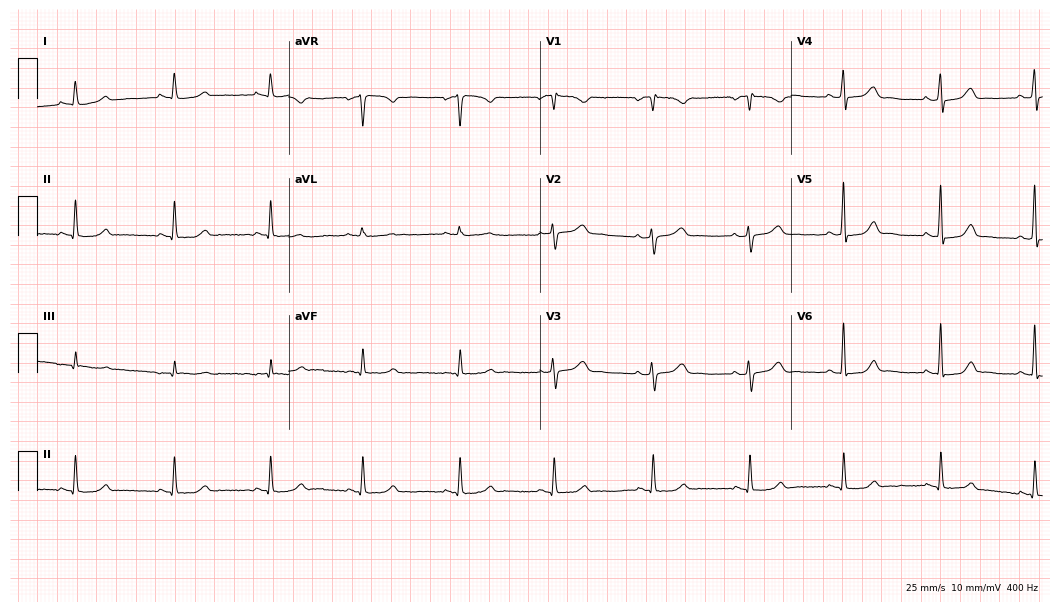
12-lead ECG from a 39-year-old woman (10.2-second recording at 400 Hz). Recorded interpretation: within normal limits.